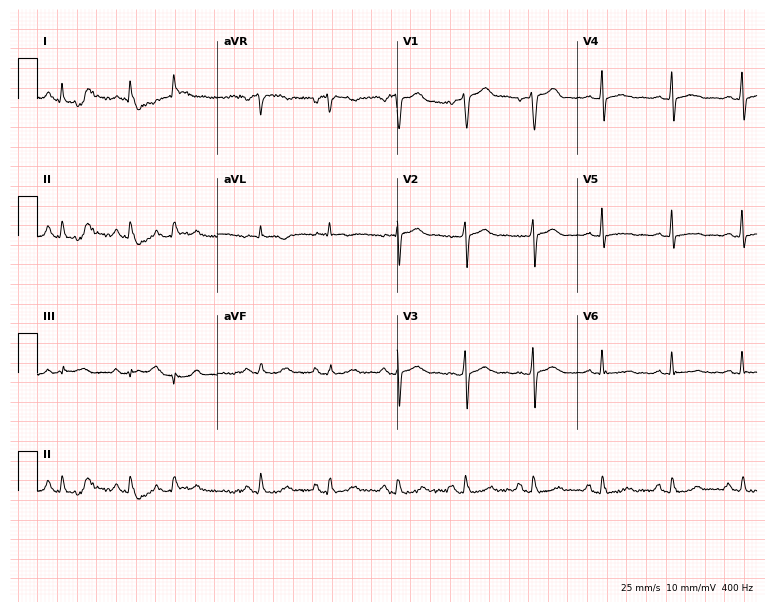
12-lead ECG from a male patient, 71 years old. No first-degree AV block, right bundle branch block, left bundle branch block, sinus bradycardia, atrial fibrillation or sinus tachycardia recorded for this tracing. Only these six findings were labelled.